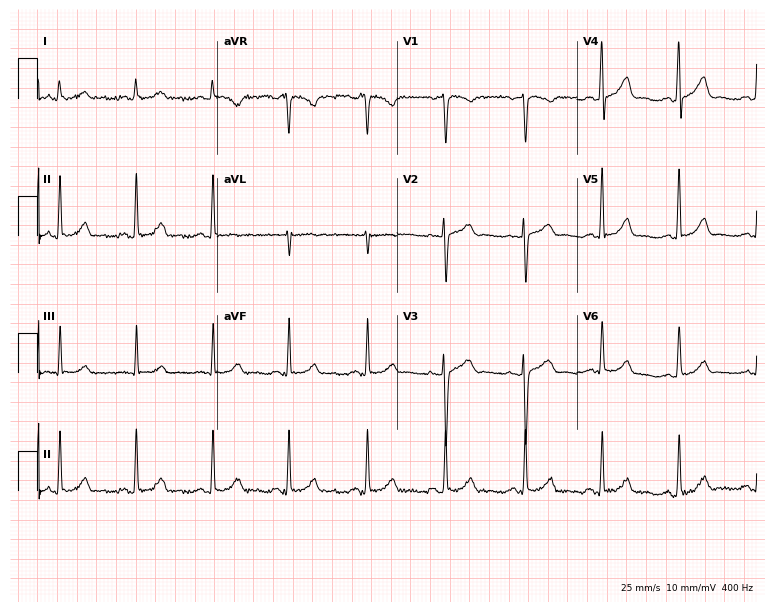
Resting 12-lead electrocardiogram (7.3-second recording at 400 Hz). Patient: a 34-year-old female. Read as a normal ECG.